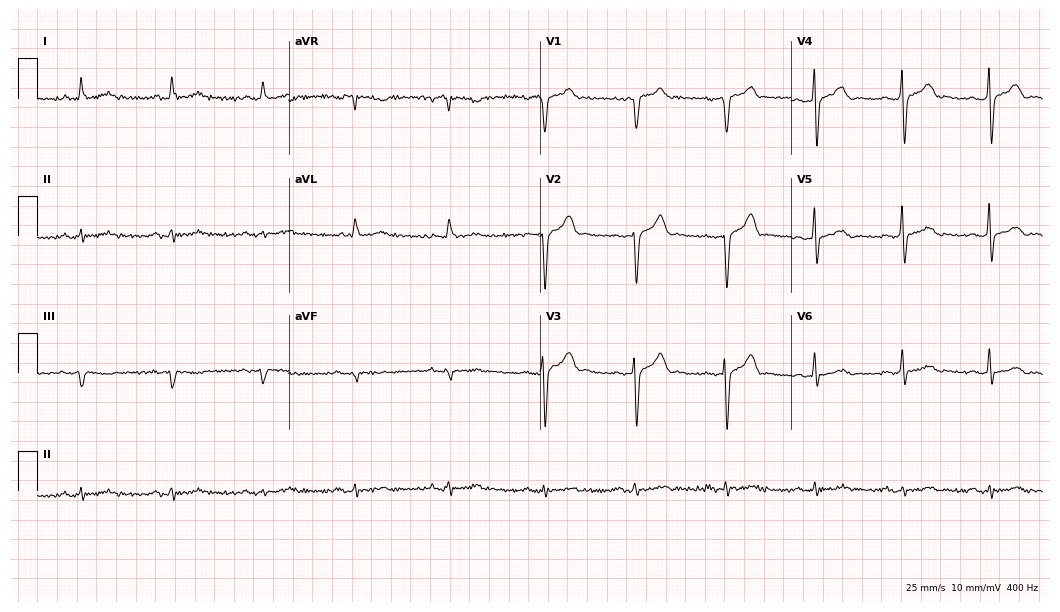
12-lead ECG from a 58-year-old man. Labelled as a normal ECG.